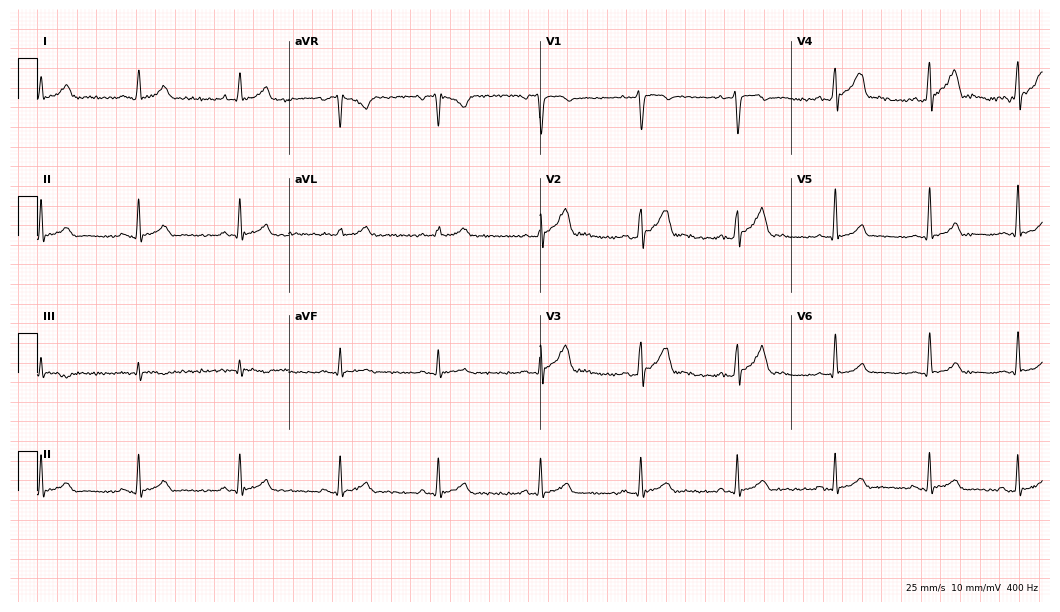
Electrocardiogram (10.2-second recording at 400 Hz), a 30-year-old man. Overall reading on record: normal ECG.